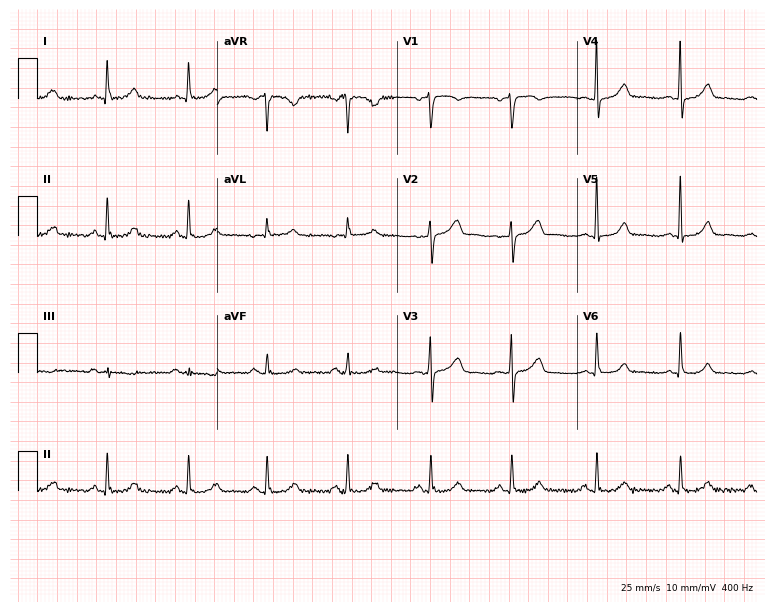
ECG (7.3-second recording at 400 Hz) — a female patient, 51 years old. Labelled as a normal ECG.